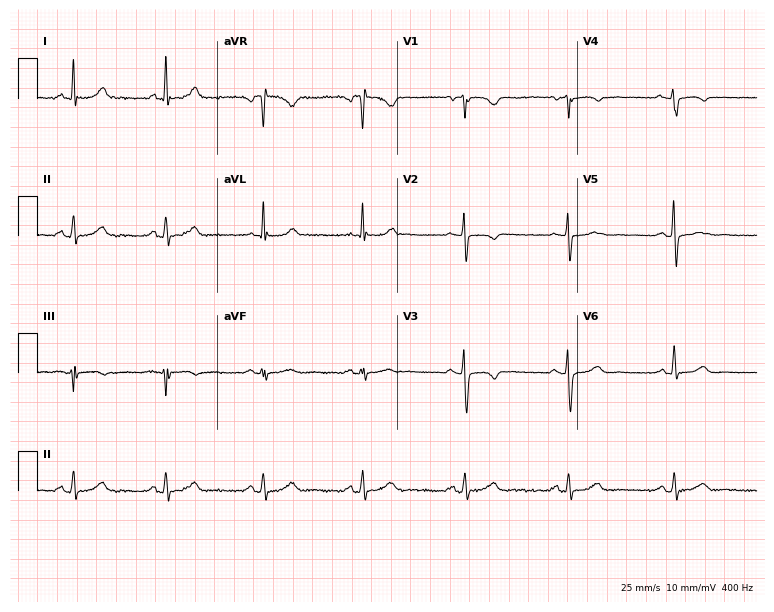
Standard 12-lead ECG recorded from a female patient, 65 years old (7.3-second recording at 400 Hz). None of these six findings is recorded: first-degree AV block, right bundle branch block, left bundle branch block, sinus bradycardia, atrial fibrillation, sinus tachycardia.